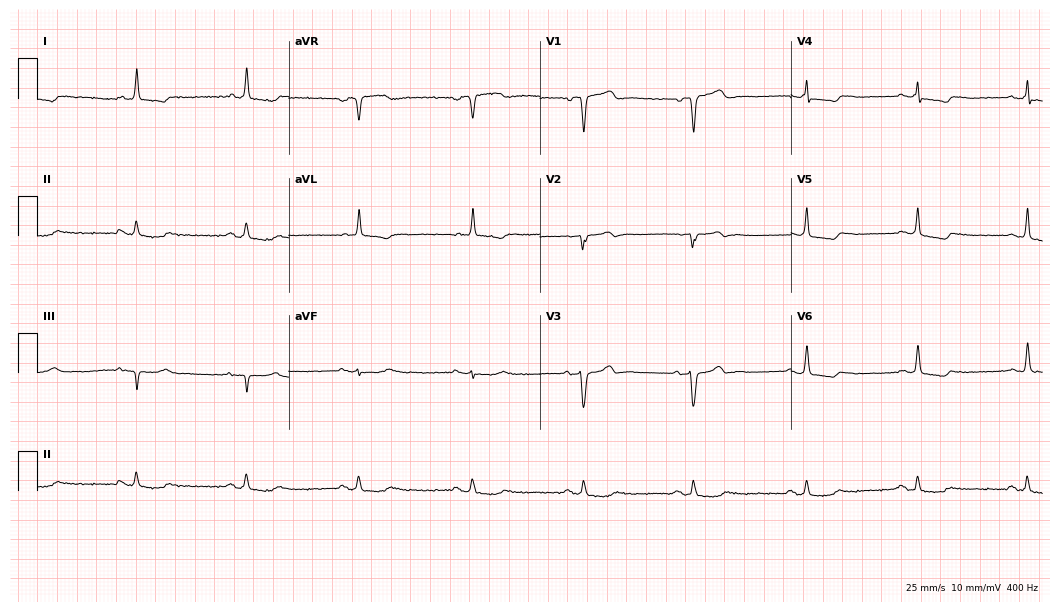
Standard 12-lead ECG recorded from an 85-year-old male patient. None of these six findings is recorded: first-degree AV block, right bundle branch block, left bundle branch block, sinus bradycardia, atrial fibrillation, sinus tachycardia.